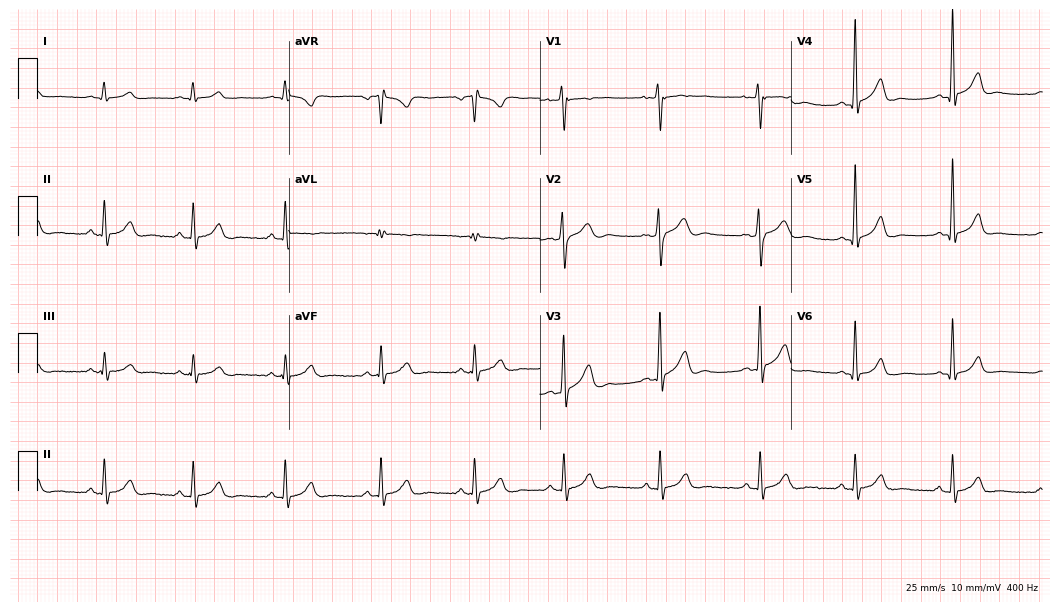
Resting 12-lead electrocardiogram (10.2-second recording at 400 Hz). Patient: a 22-year-old male. None of these six findings is recorded: first-degree AV block, right bundle branch block, left bundle branch block, sinus bradycardia, atrial fibrillation, sinus tachycardia.